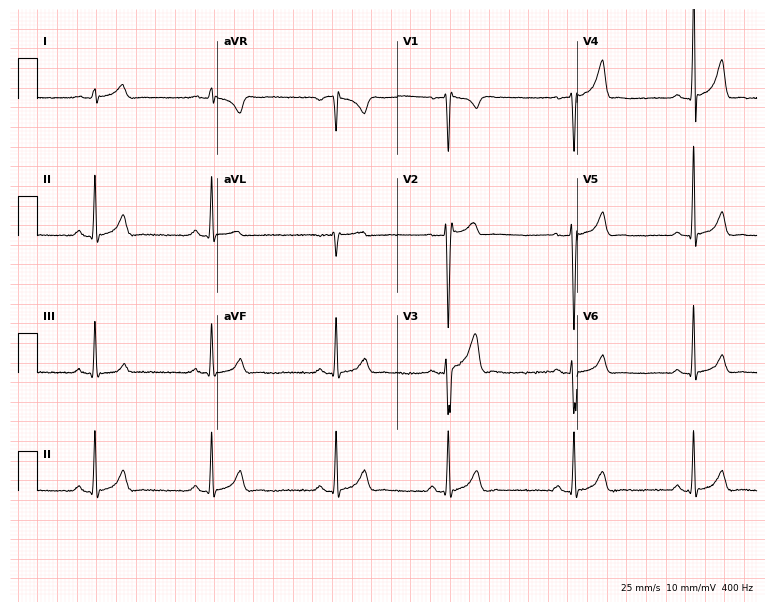
Electrocardiogram, a man, 23 years old. Of the six screened findings (first-degree AV block, right bundle branch block (RBBB), left bundle branch block (LBBB), sinus bradycardia, atrial fibrillation (AF), sinus tachycardia), none is recorded. Findings outside these six are not listed.